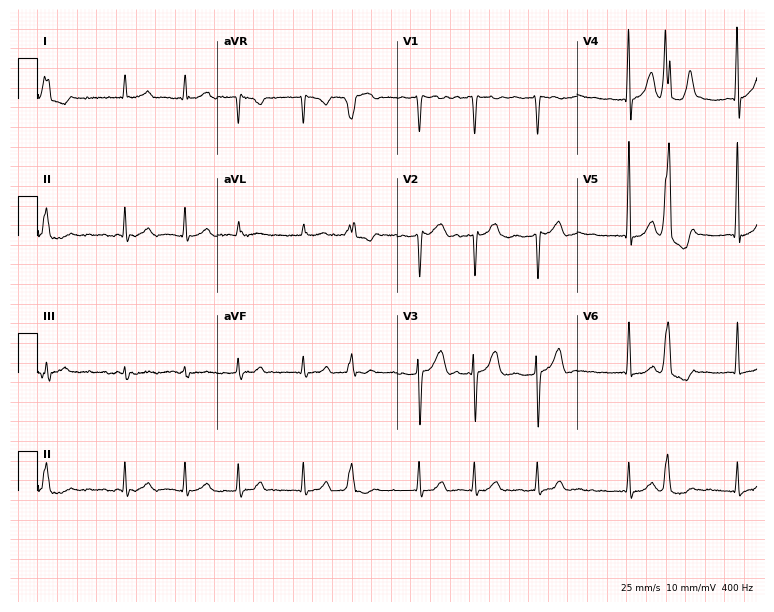
ECG — a female patient, 66 years old. Findings include atrial fibrillation (AF).